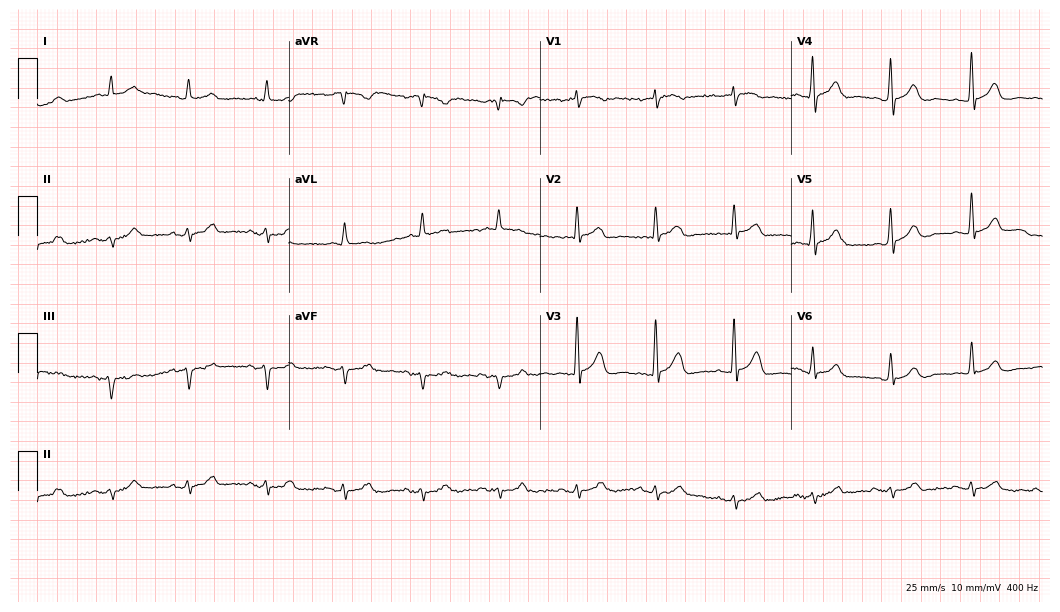
Resting 12-lead electrocardiogram (10.2-second recording at 400 Hz). Patient: a male, 86 years old. None of these six findings is recorded: first-degree AV block, right bundle branch block, left bundle branch block, sinus bradycardia, atrial fibrillation, sinus tachycardia. Findings outside these six are not listed.